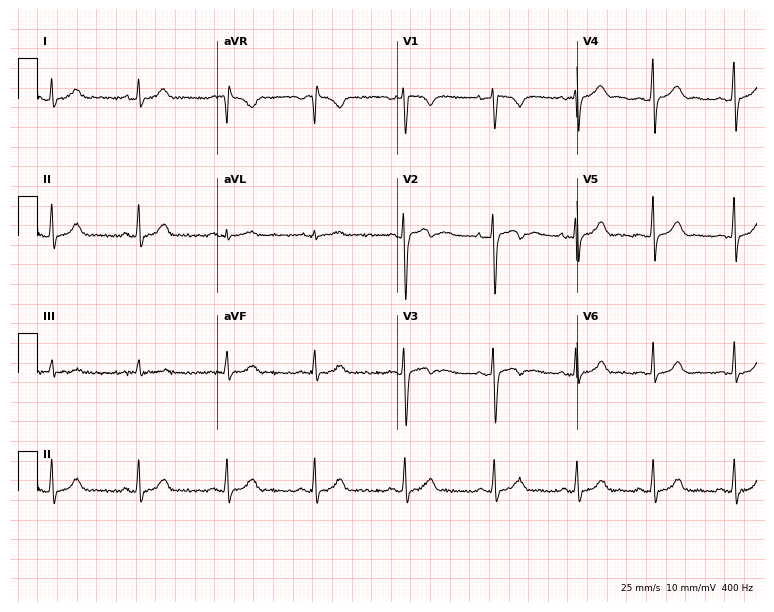
Resting 12-lead electrocardiogram. Patient: a female, 18 years old. Read as a normal ECG.